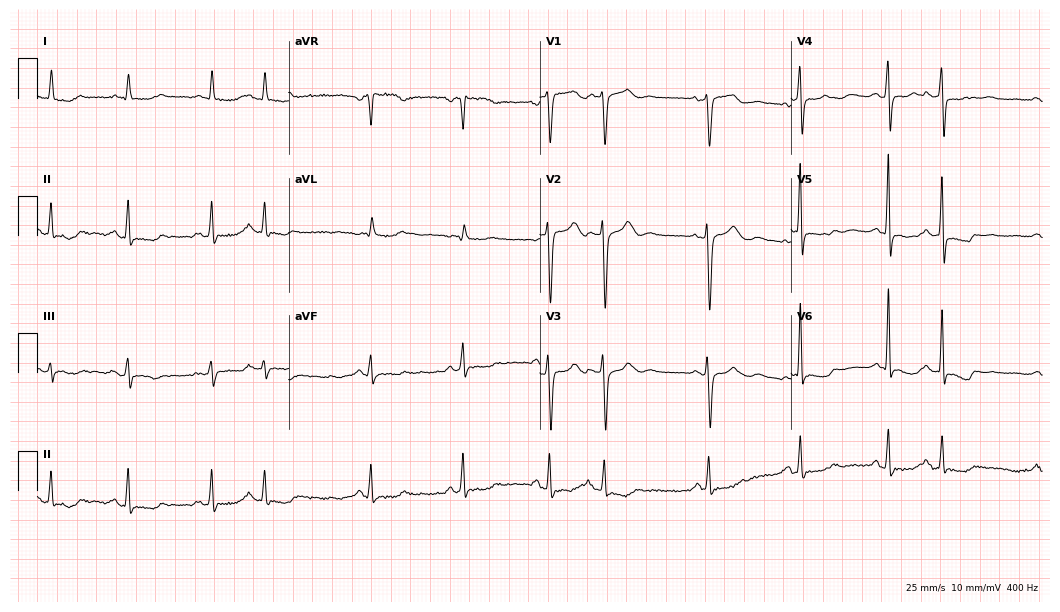
12-lead ECG from a woman, 70 years old (10.2-second recording at 400 Hz). No first-degree AV block, right bundle branch block (RBBB), left bundle branch block (LBBB), sinus bradycardia, atrial fibrillation (AF) or sinus tachycardia recorded for this tracing.